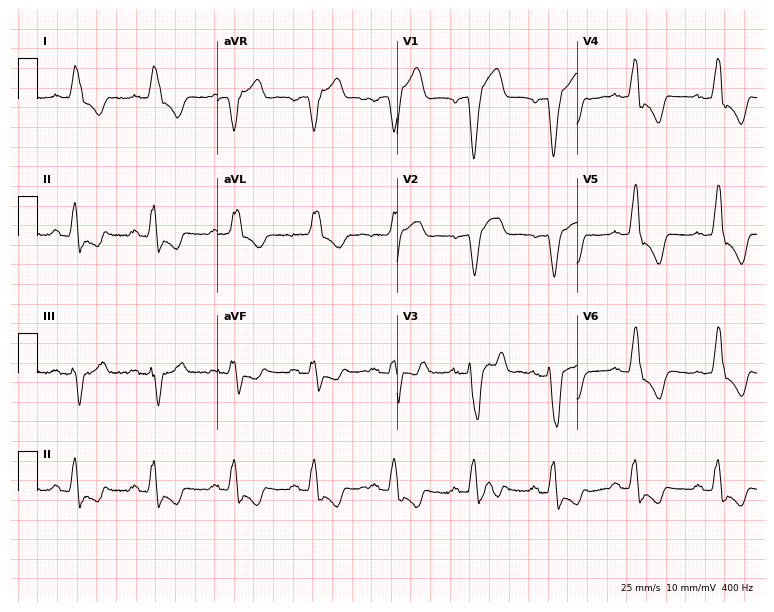
ECG — a 65-year-old man. Findings include left bundle branch block (LBBB).